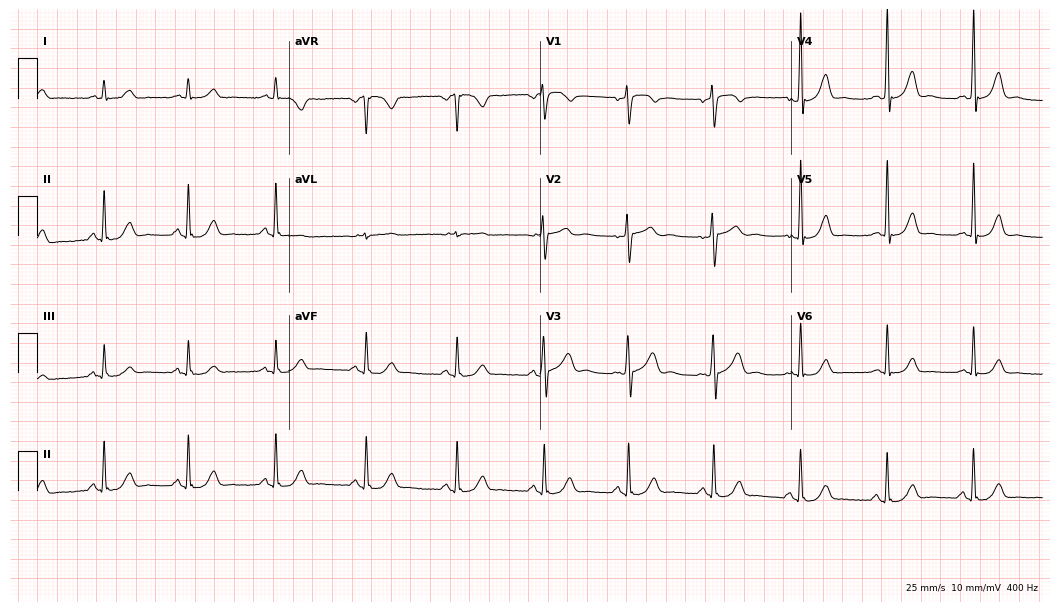
Standard 12-lead ECG recorded from a male patient, 54 years old (10.2-second recording at 400 Hz). Read as a normal ECG.